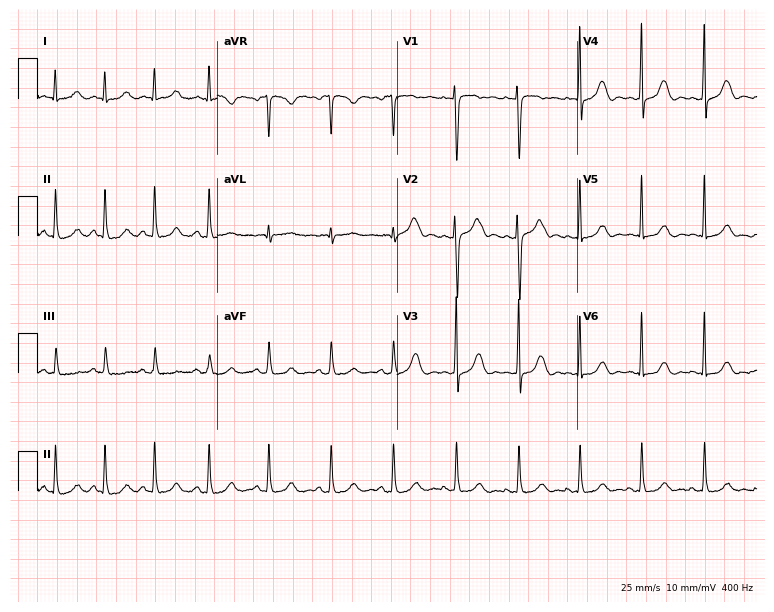
Electrocardiogram (7.3-second recording at 400 Hz), a female, 21 years old. Of the six screened findings (first-degree AV block, right bundle branch block (RBBB), left bundle branch block (LBBB), sinus bradycardia, atrial fibrillation (AF), sinus tachycardia), none is recorded.